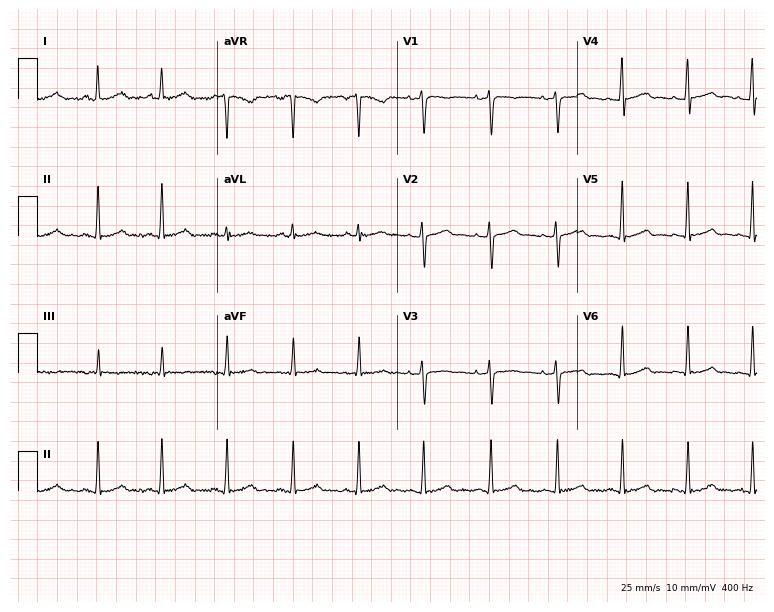
12-lead ECG from a 30-year-old female. Labelled as a normal ECG.